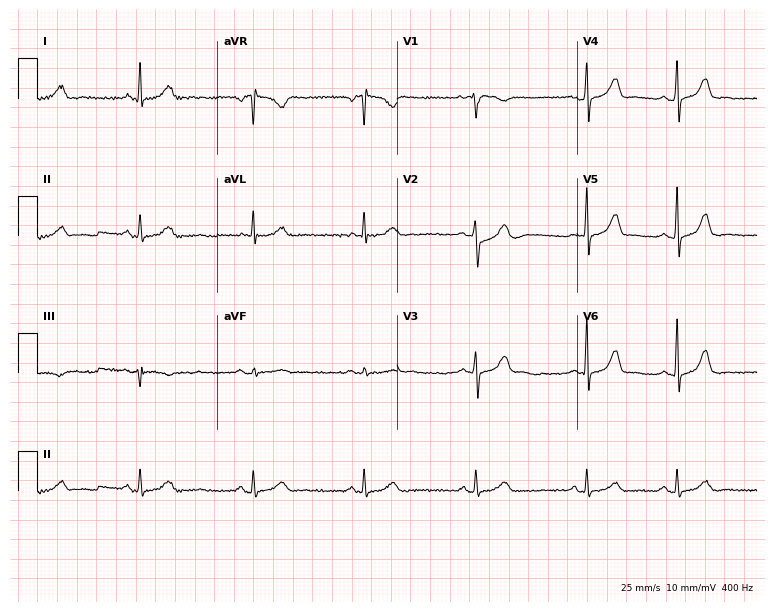
12-lead ECG from a 42-year-old female. Screened for six findings — first-degree AV block, right bundle branch block, left bundle branch block, sinus bradycardia, atrial fibrillation, sinus tachycardia — none is recorded. Only these six findings were labelled.